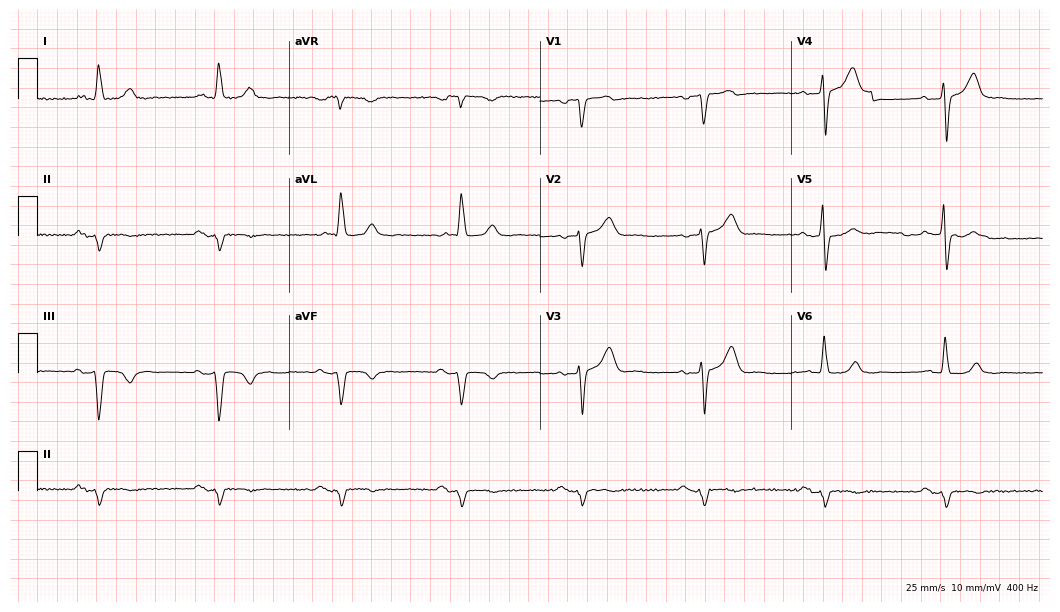
Standard 12-lead ECG recorded from an 83-year-old male patient. The tracing shows sinus bradycardia (a sinus rate of 50 beats per minute or less).